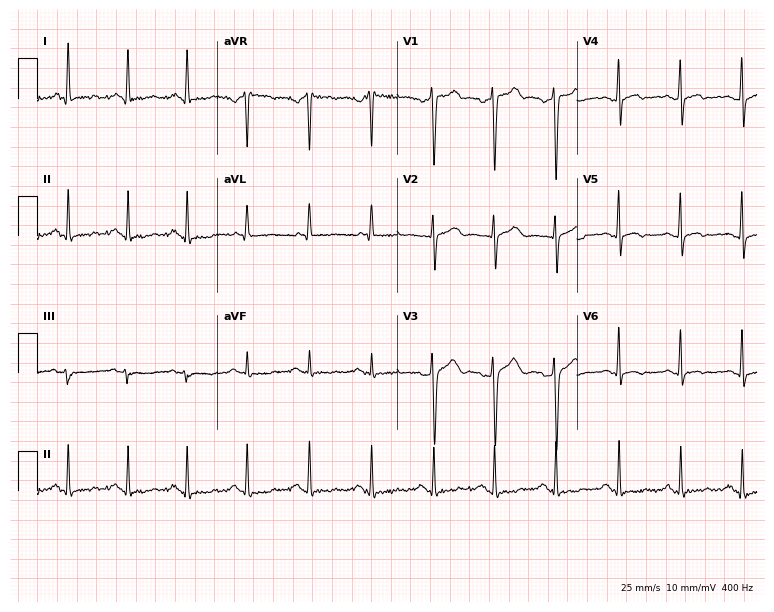
Standard 12-lead ECG recorded from a 45-year-old man. None of these six findings is recorded: first-degree AV block, right bundle branch block (RBBB), left bundle branch block (LBBB), sinus bradycardia, atrial fibrillation (AF), sinus tachycardia. Other findings, if any, are not listed.